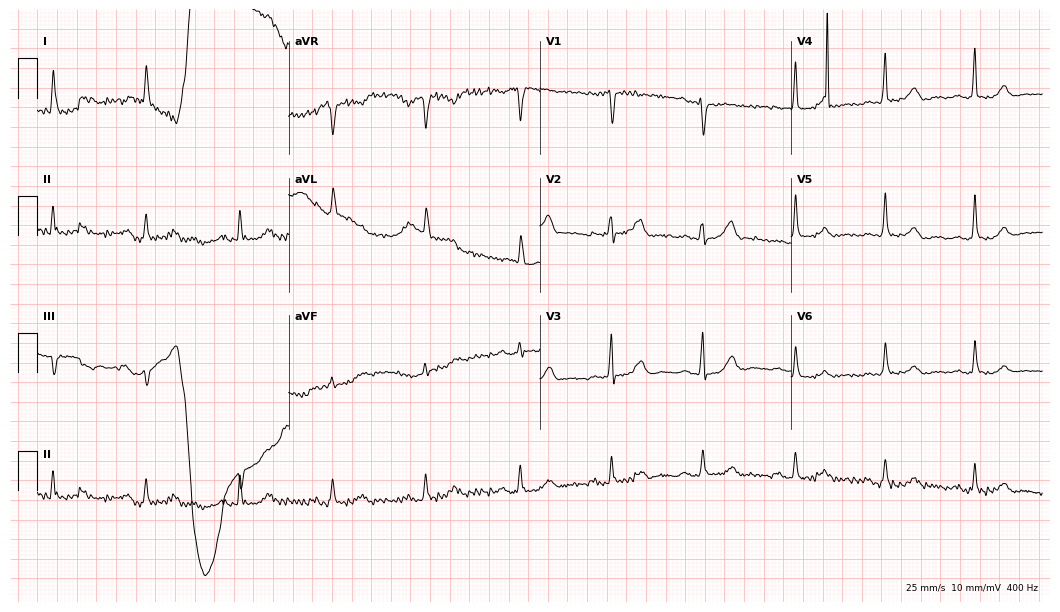
12-lead ECG (10.2-second recording at 400 Hz) from a female patient, 83 years old. Findings include atrial fibrillation.